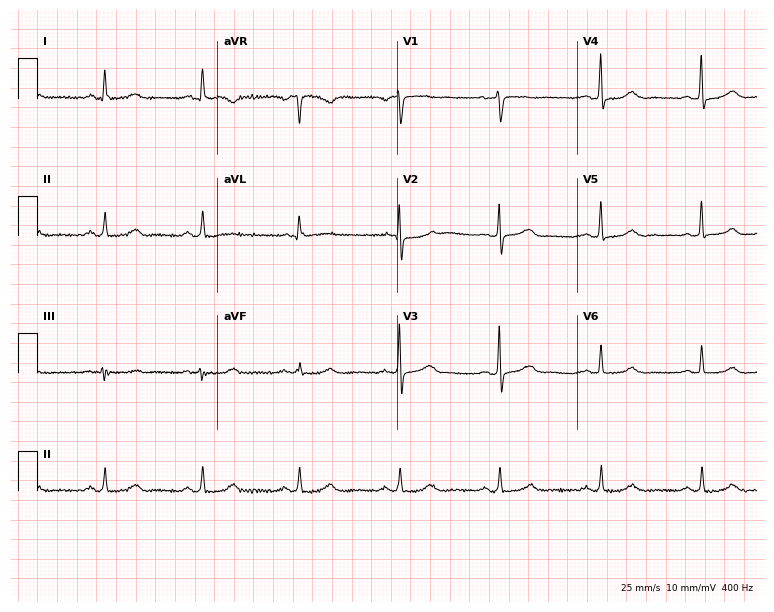
Electrocardiogram (7.3-second recording at 400 Hz), a woman, 60 years old. Overall reading on record: normal ECG.